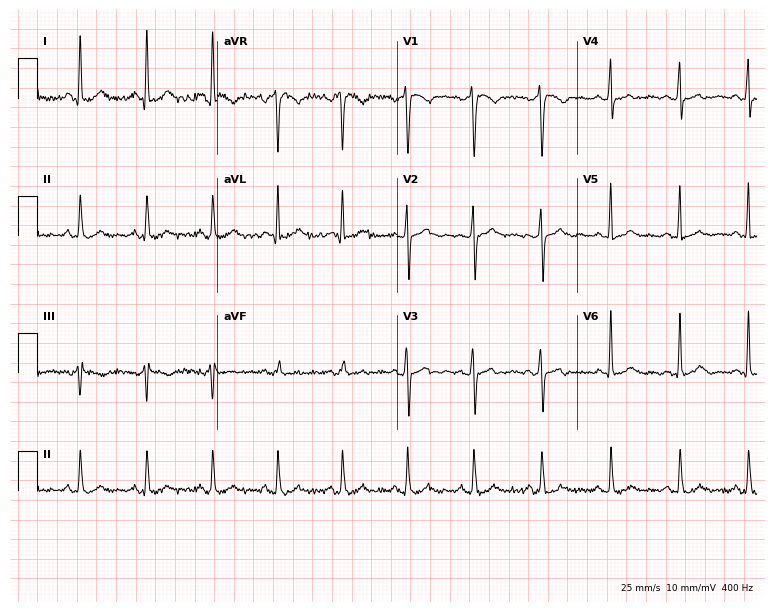
Resting 12-lead electrocardiogram. Patient: a 31-year-old woman. None of these six findings is recorded: first-degree AV block, right bundle branch block, left bundle branch block, sinus bradycardia, atrial fibrillation, sinus tachycardia. Findings outside these six are not listed.